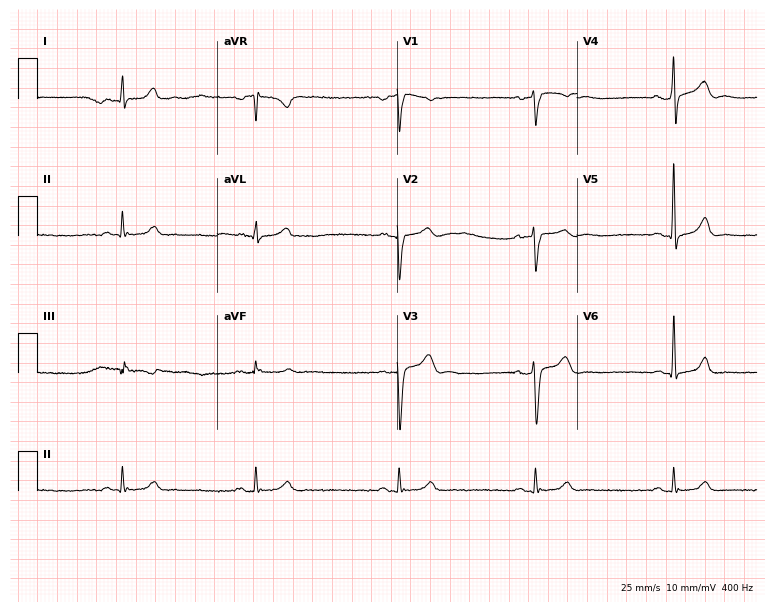
Resting 12-lead electrocardiogram (7.3-second recording at 400 Hz). Patient: a 33-year-old male. The tracing shows sinus bradycardia (a sinus rate of 50 beats per minute or less).